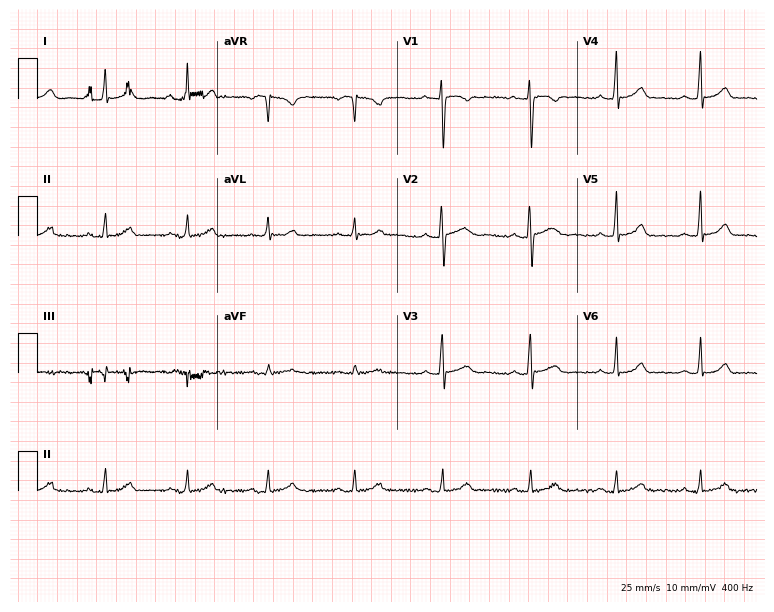
Electrocardiogram (7.3-second recording at 400 Hz), a 20-year-old woman. Overall reading on record: normal ECG.